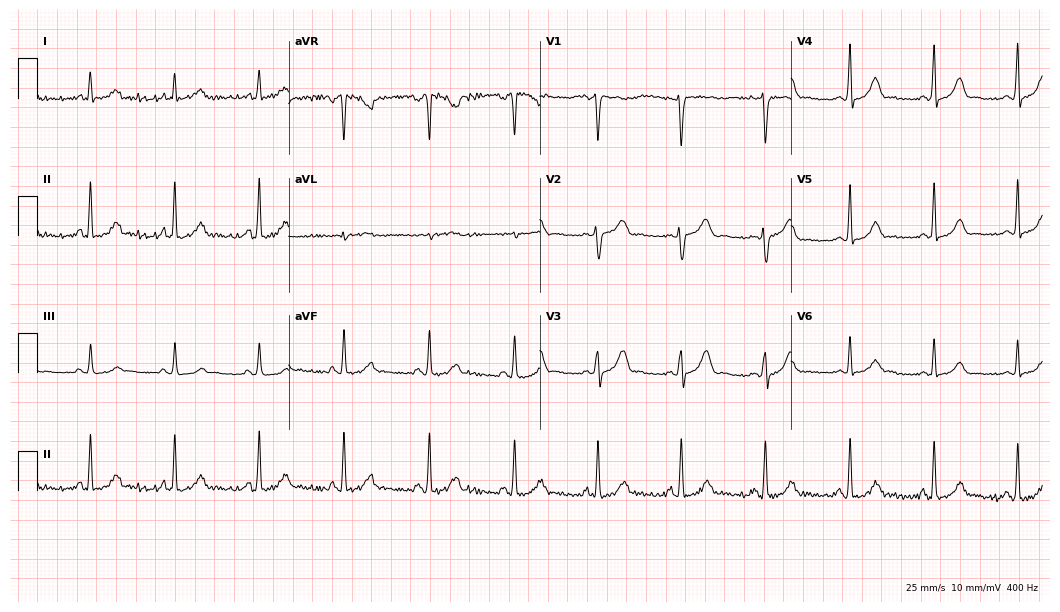
Standard 12-lead ECG recorded from a 44-year-old female patient (10.2-second recording at 400 Hz). Read as a normal ECG.